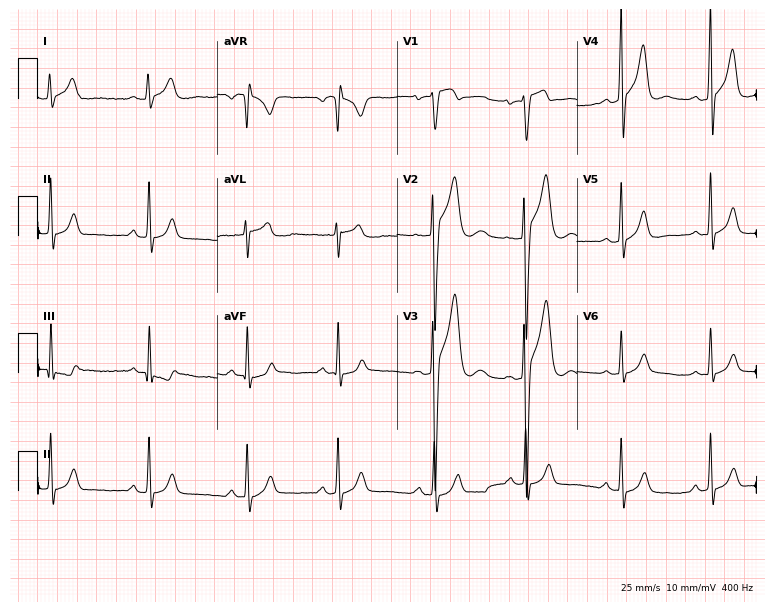
12-lead ECG from a 21-year-old male. Screened for six findings — first-degree AV block, right bundle branch block (RBBB), left bundle branch block (LBBB), sinus bradycardia, atrial fibrillation (AF), sinus tachycardia — none is recorded. Only these six findings were labelled.